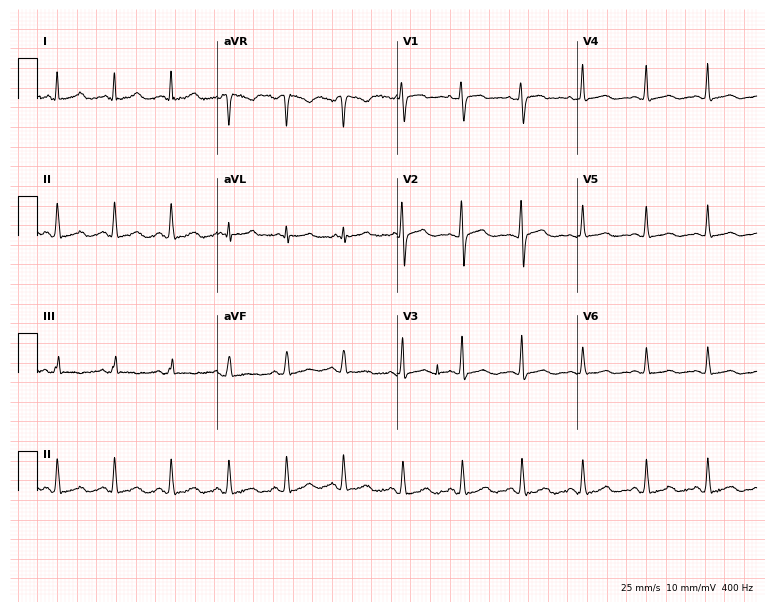
Resting 12-lead electrocardiogram. Patient: a 30-year-old female. None of these six findings is recorded: first-degree AV block, right bundle branch block, left bundle branch block, sinus bradycardia, atrial fibrillation, sinus tachycardia.